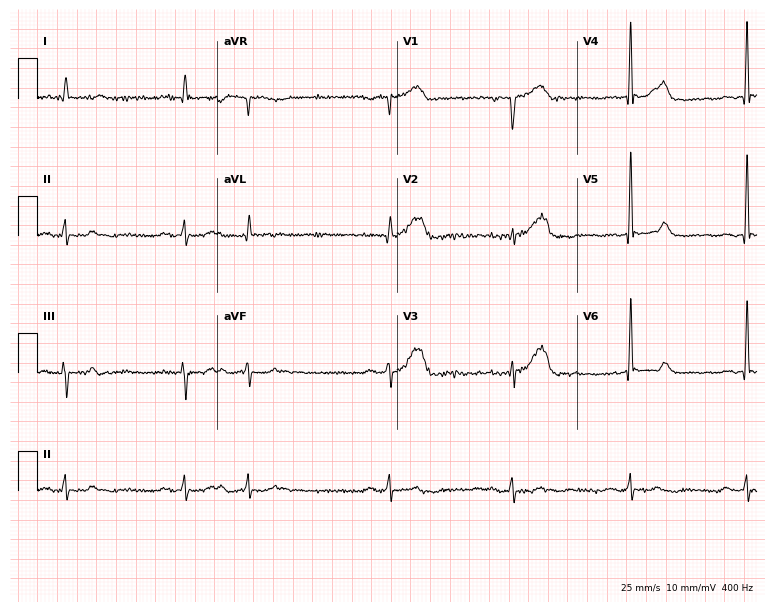
Electrocardiogram (7.3-second recording at 400 Hz), a 78-year-old male patient. Of the six screened findings (first-degree AV block, right bundle branch block, left bundle branch block, sinus bradycardia, atrial fibrillation, sinus tachycardia), none is recorded.